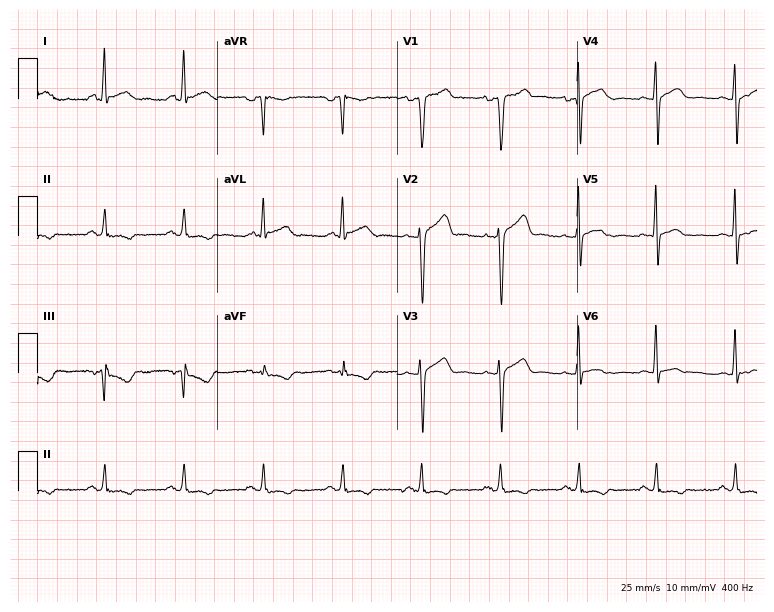
12-lead ECG from a 50-year-old man. No first-degree AV block, right bundle branch block, left bundle branch block, sinus bradycardia, atrial fibrillation or sinus tachycardia recorded for this tracing. Other findings, if any, are not listed.